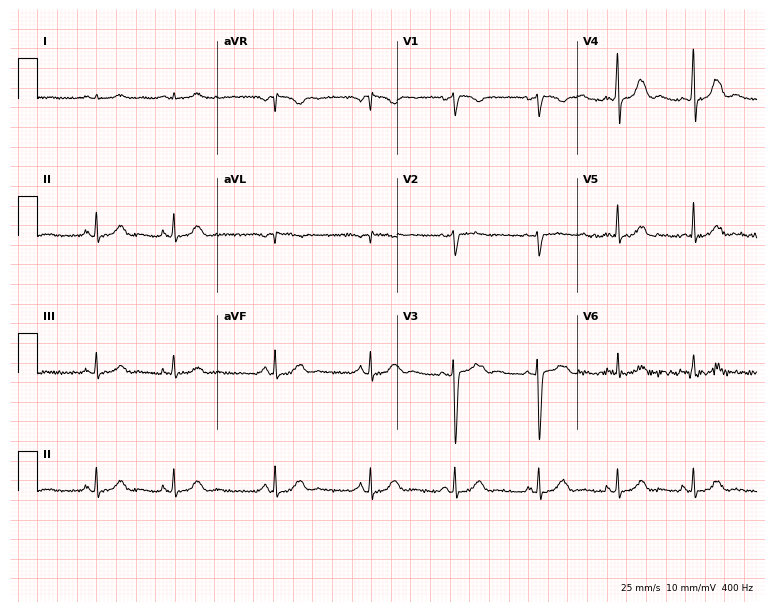
ECG (7.3-second recording at 400 Hz) — a 41-year-old female. Labelled as a normal ECG.